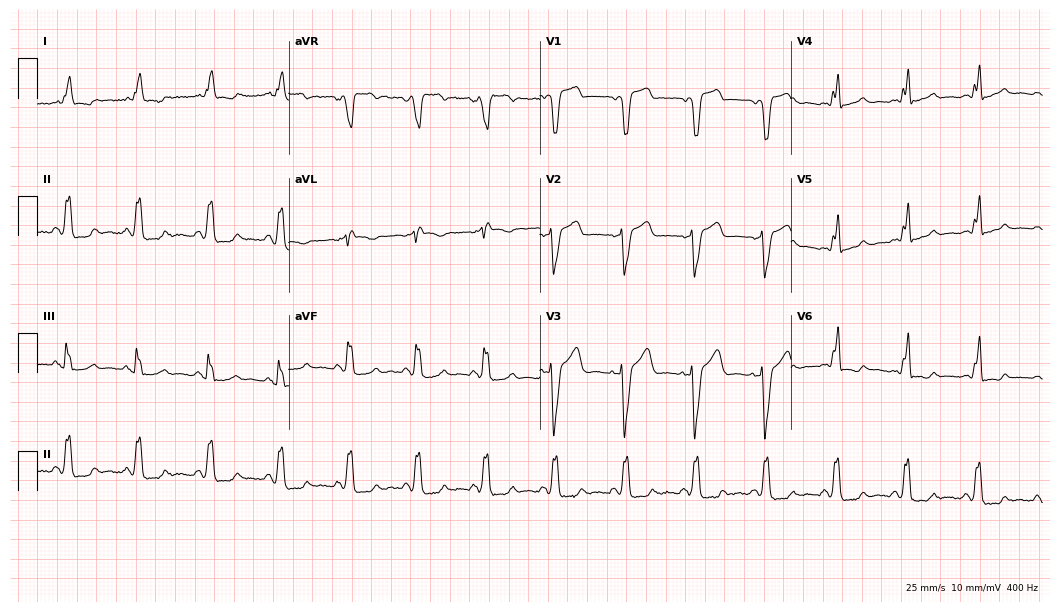
12-lead ECG from a 70-year-old male. Findings include left bundle branch block.